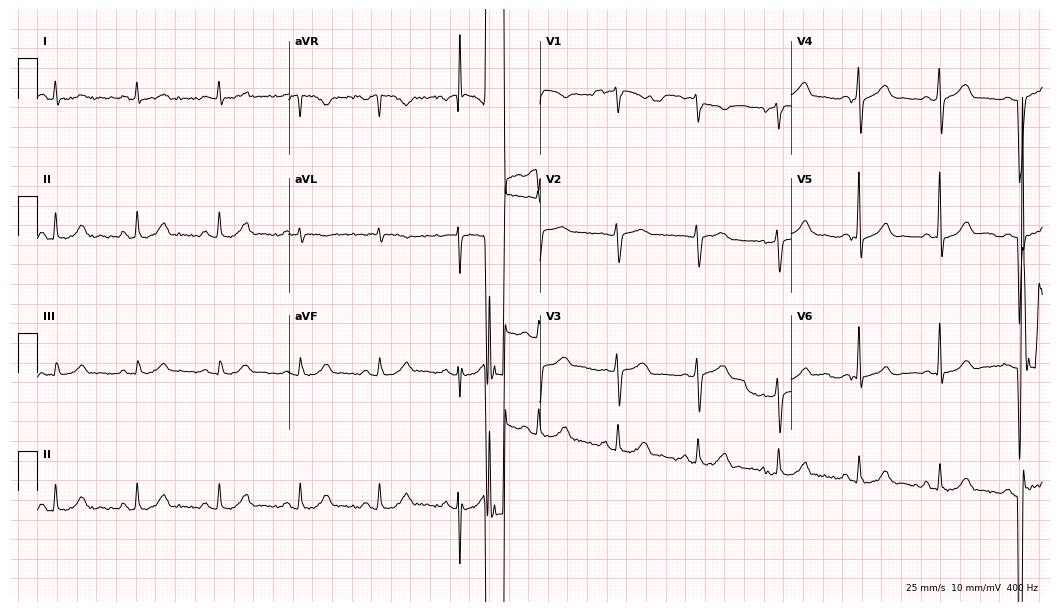
Standard 12-lead ECG recorded from a male patient, 61 years old (10.2-second recording at 400 Hz). Read as a normal ECG.